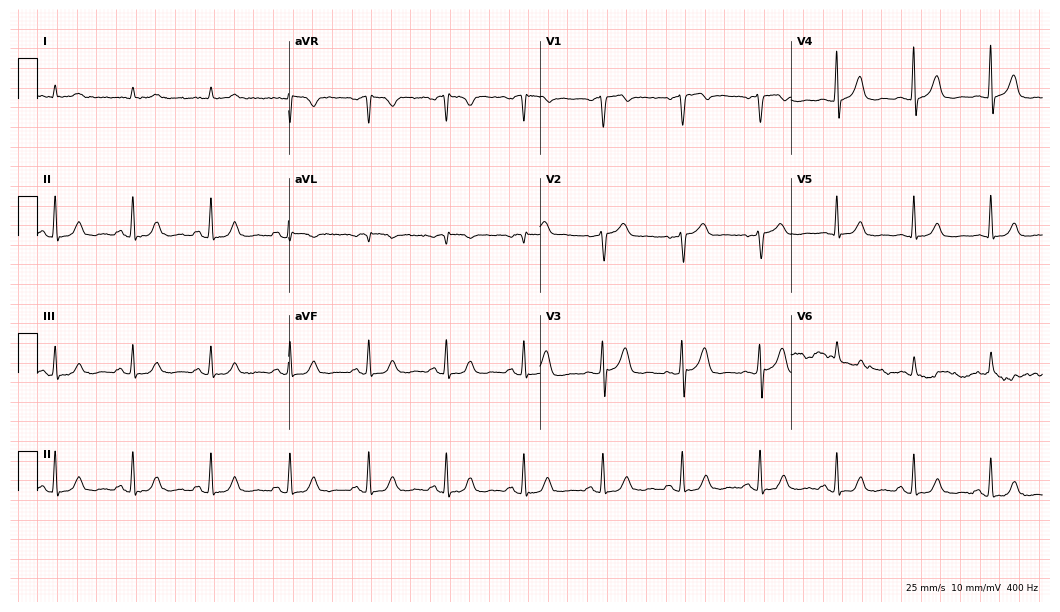
12-lead ECG (10.2-second recording at 400 Hz) from a male patient, 85 years old. Labelled as a normal ECG.